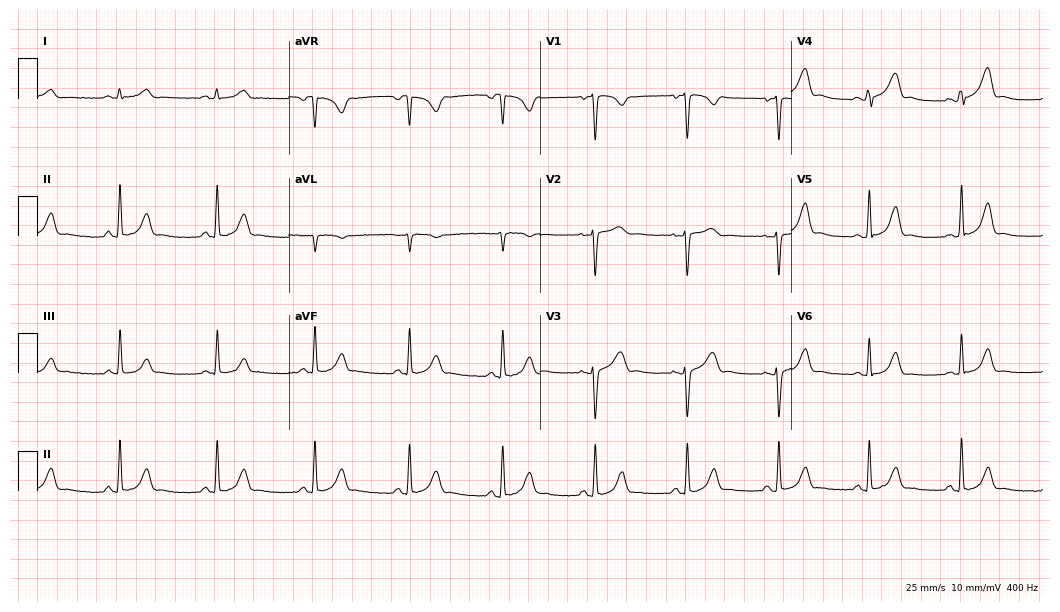
12-lead ECG (10.2-second recording at 400 Hz) from a female, 34 years old. Screened for six findings — first-degree AV block, right bundle branch block, left bundle branch block, sinus bradycardia, atrial fibrillation, sinus tachycardia — none is recorded. Findings outside these six are not listed.